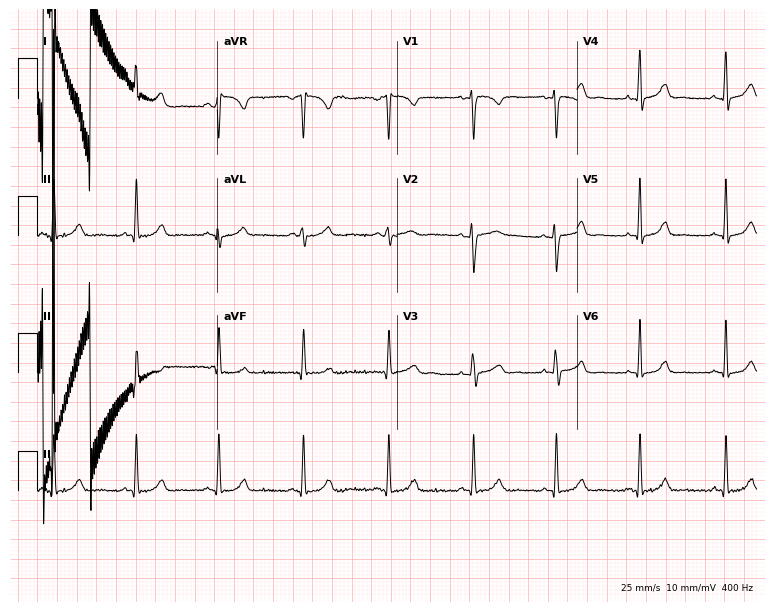
12-lead ECG from a female, 34 years old. Recorded interpretation: within normal limits.